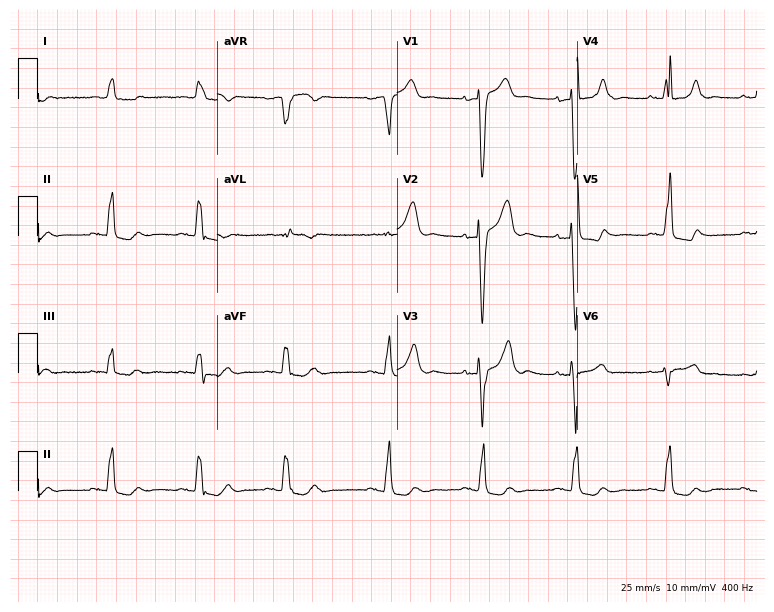
ECG (7.3-second recording at 400 Hz) — a male, 84 years old. Screened for six findings — first-degree AV block, right bundle branch block, left bundle branch block, sinus bradycardia, atrial fibrillation, sinus tachycardia — none is recorded. Other findings, if any, are not listed.